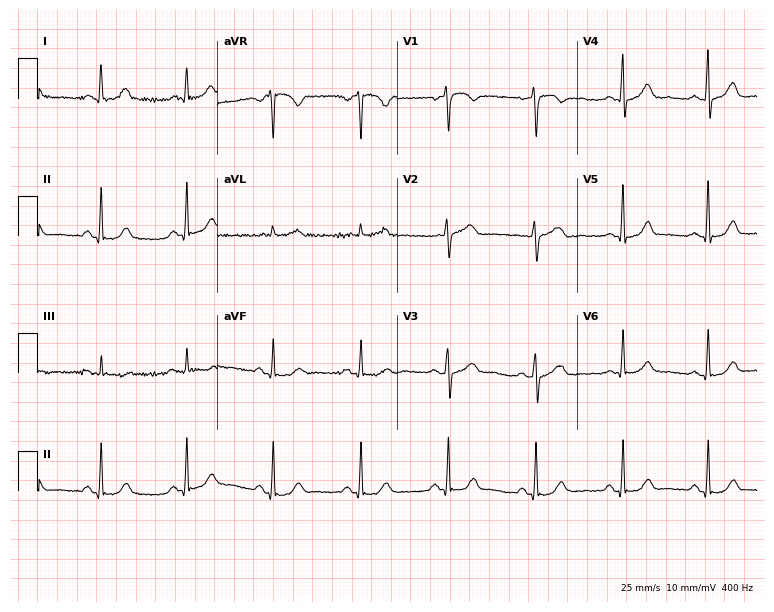
Standard 12-lead ECG recorded from a 46-year-old female patient. Read as a normal ECG.